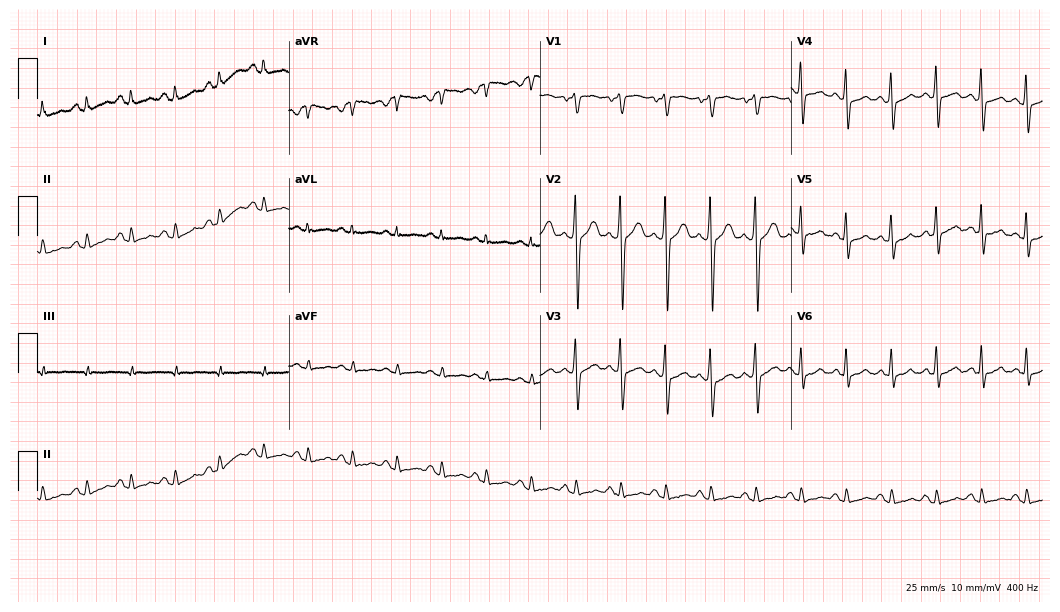
ECG — a male, 51 years old. Findings include sinus tachycardia (a sinus rate of 100 beats per minute or more).